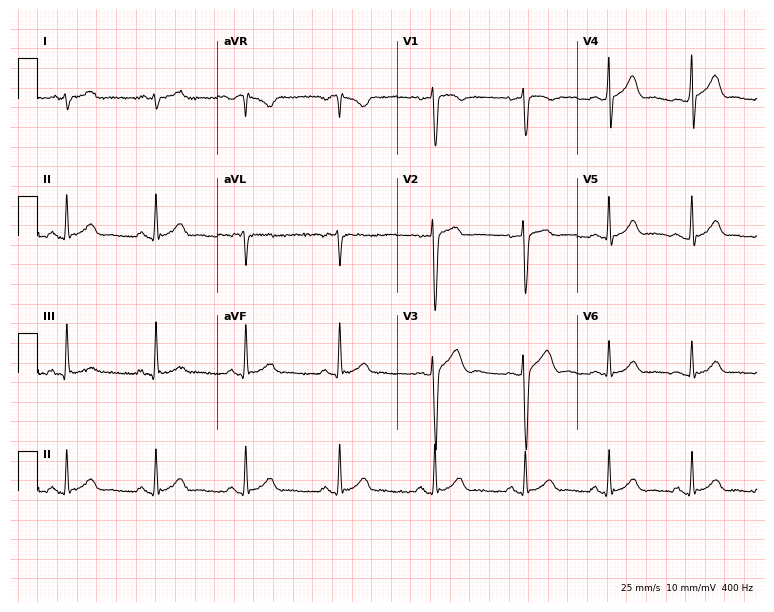
12-lead ECG from a 28-year-old male. Labelled as a normal ECG.